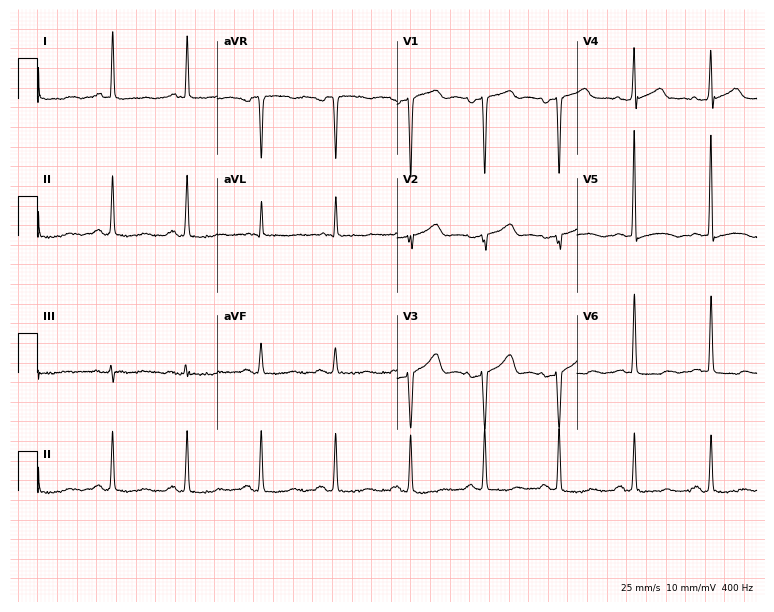
ECG — an 81-year-old female patient. Screened for six findings — first-degree AV block, right bundle branch block, left bundle branch block, sinus bradycardia, atrial fibrillation, sinus tachycardia — none is recorded.